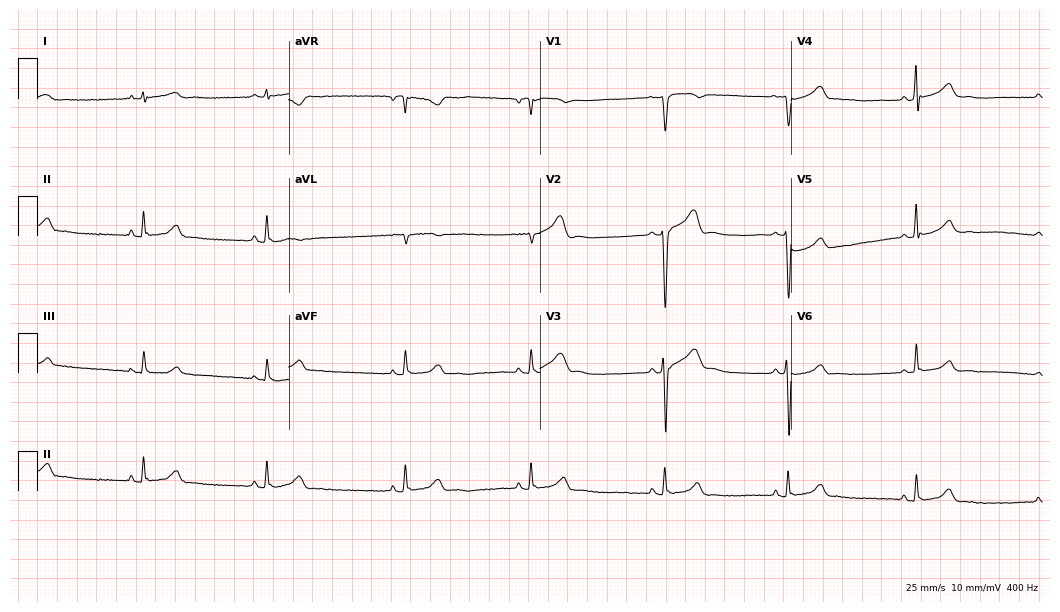
Resting 12-lead electrocardiogram. Patient: a male, 26 years old. The tracing shows sinus bradycardia (a sinus rate of 50 beats per minute or less).